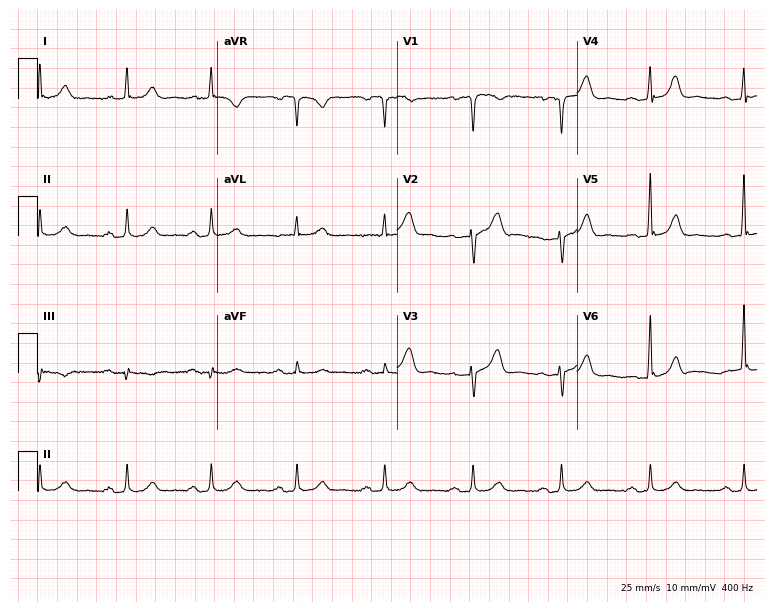
Resting 12-lead electrocardiogram (7.3-second recording at 400 Hz). Patient: a man, 83 years old. Read as a normal ECG.